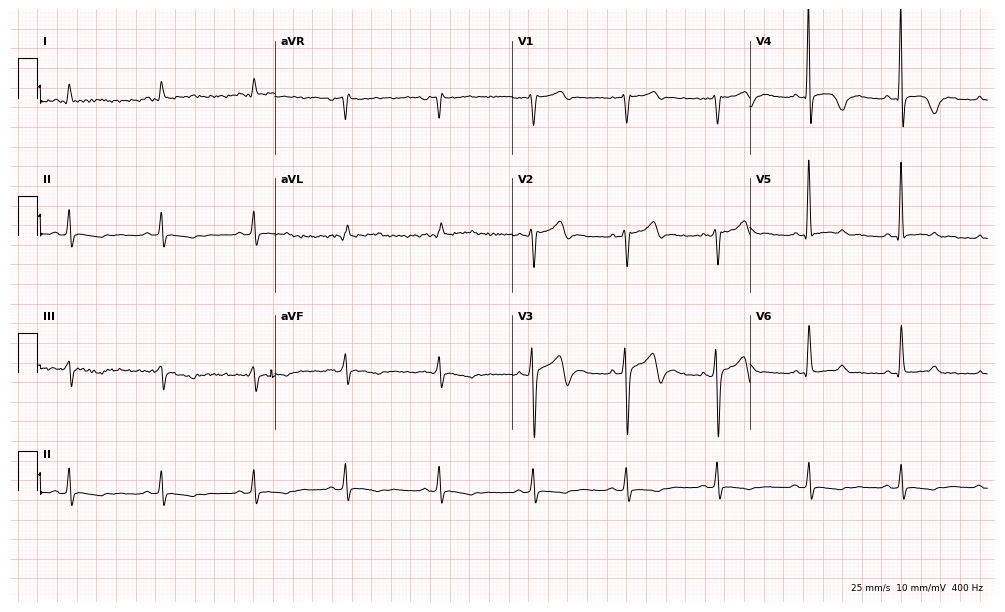
12-lead ECG from a man, 56 years old. No first-degree AV block, right bundle branch block (RBBB), left bundle branch block (LBBB), sinus bradycardia, atrial fibrillation (AF) or sinus tachycardia recorded for this tracing.